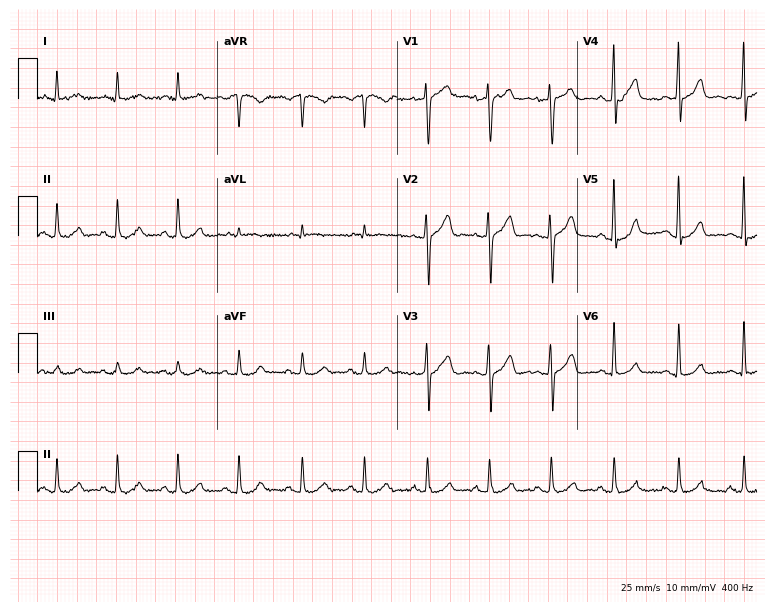
12-lead ECG from a 63-year-old male. Recorded interpretation: within normal limits.